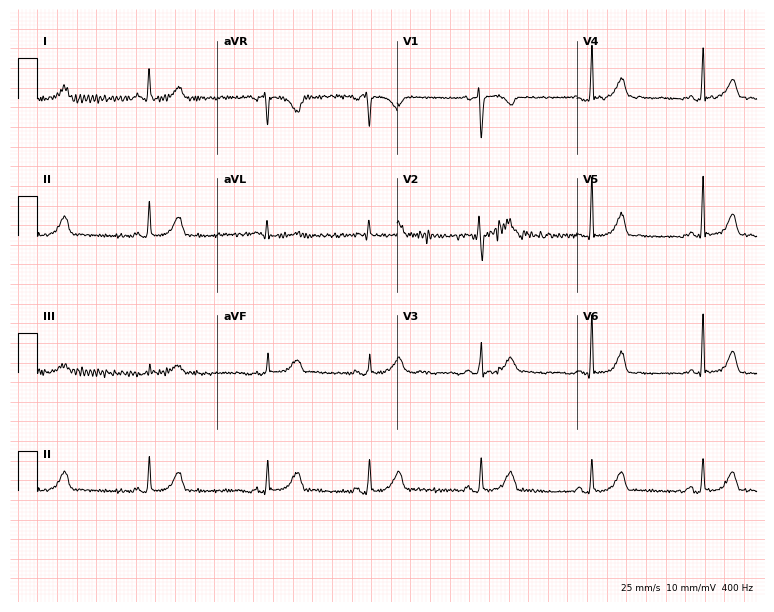
12-lead ECG from a female, 36 years old (7.3-second recording at 400 Hz). Recorded interpretation: within normal limits.